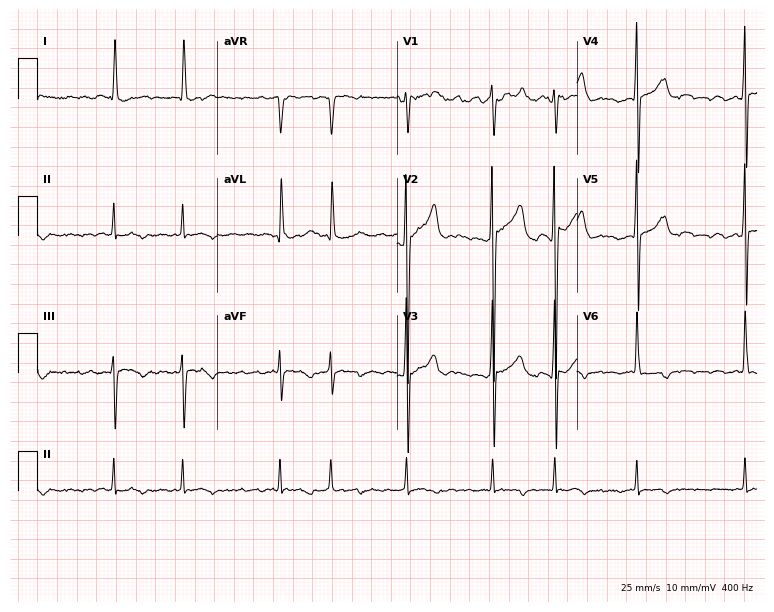
Standard 12-lead ECG recorded from a male patient, 72 years old (7.3-second recording at 400 Hz). None of these six findings is recorded: first-degree AV block, right bundle branch block, left bundle branch block, sinus bradycardia, atrial fibrillation, sinus tachycardia.